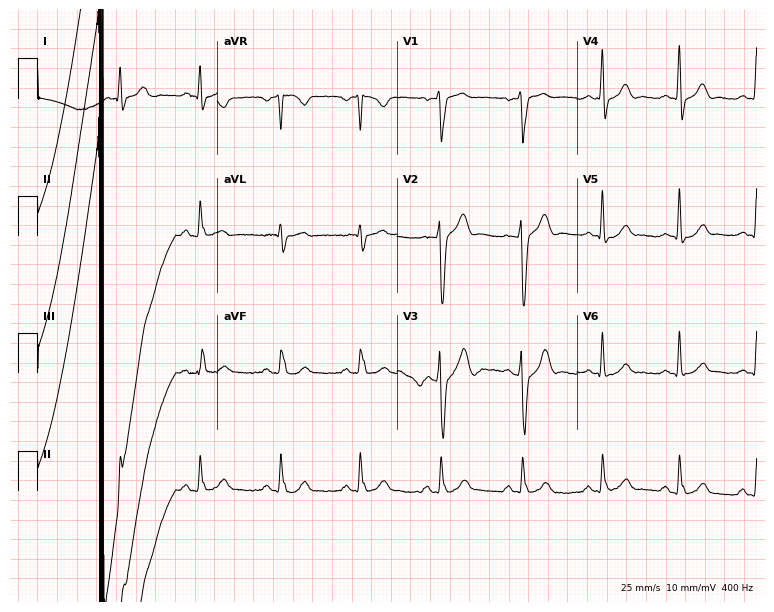
12-lead ECG from a man, 38 years old (7.3-second recording at 400 Hz). No first-degree AV block, right bundle branch block, left bundle branch block, sinus bradycardia, atrial fibrillation or sinus tachycardia recorded for this tracing.